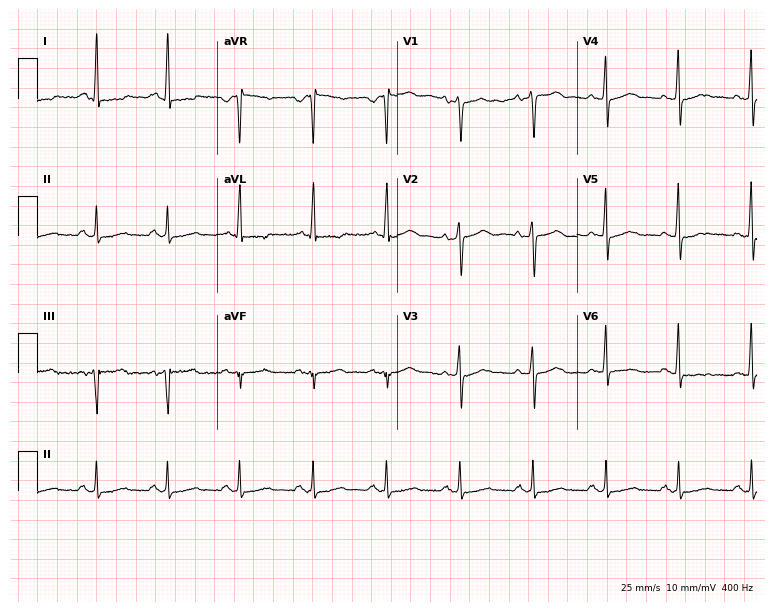
Electrocardiogram (7.3-second recording at 400 Hz), a 49-year-old female patient. Of the six screened findings (first-degree AV block, right bundle branch block, left bundle branch block, sinus bradycardia, atrial fibrillation, sinus tachycardia), none is recorded. Only these six findings were labelled.